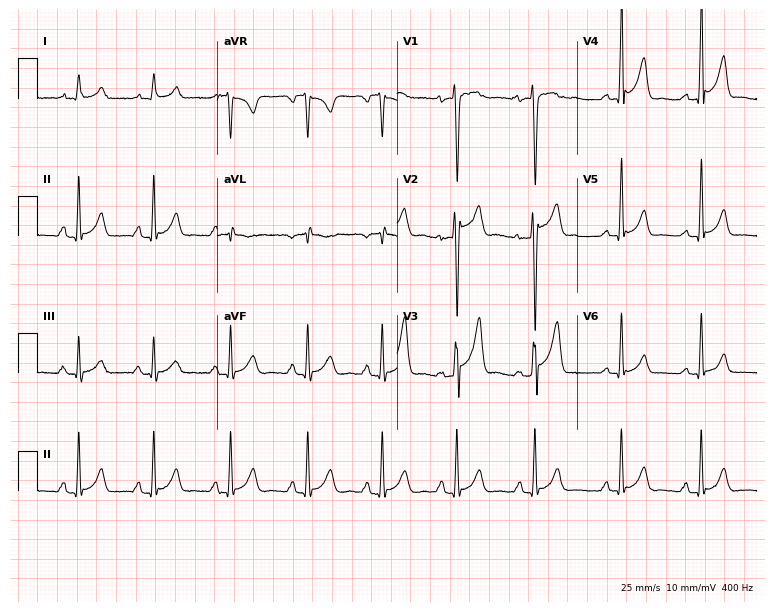
Standard 12-lead ECG recorded from a man, 22 years old (7.3-second recording at 400 Hz). Read as a normal ECG.